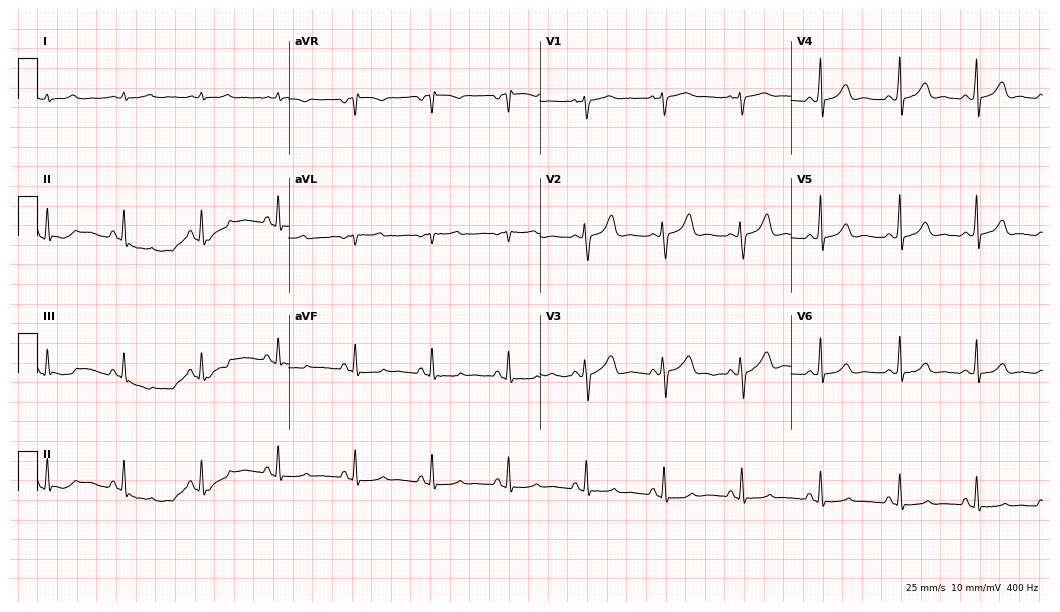
Resting 12-lead electrocardiogram (10.2-second recording at 400 Hz). Patient: a 52-year-old female. Read as a normal ECG.